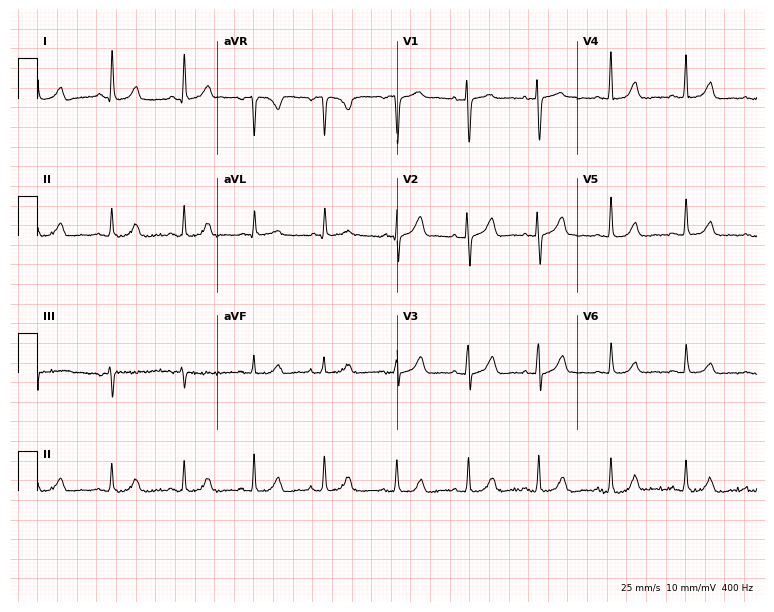
Standard 12-lead ECG recorded from a female patient, 66 years old (7.3-second recording at 400 Hz). None of these six findings is recorded: first-degree AV block, right bundle branch block, left bundle branch block, sinus bradycardia, atrial fibrillation, sinus tachycardia.